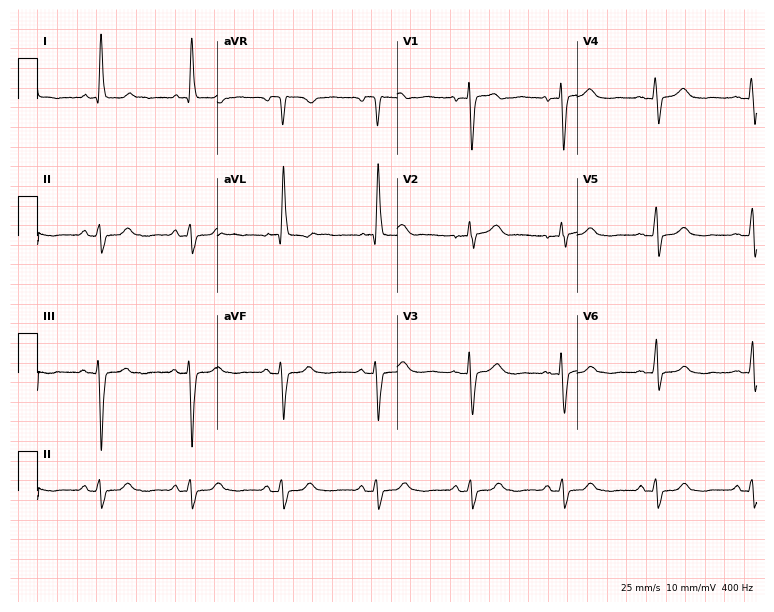
12-lead ECG from a woman, 71 years old. No first-degree AV block, right bundle branch block (RBBB), left bundle branch block (LBBB), sinus bradycardia, atrial fibrillation (AF) or sinus tachycardia recorded for this tracing. Findings outside these six are not listed.